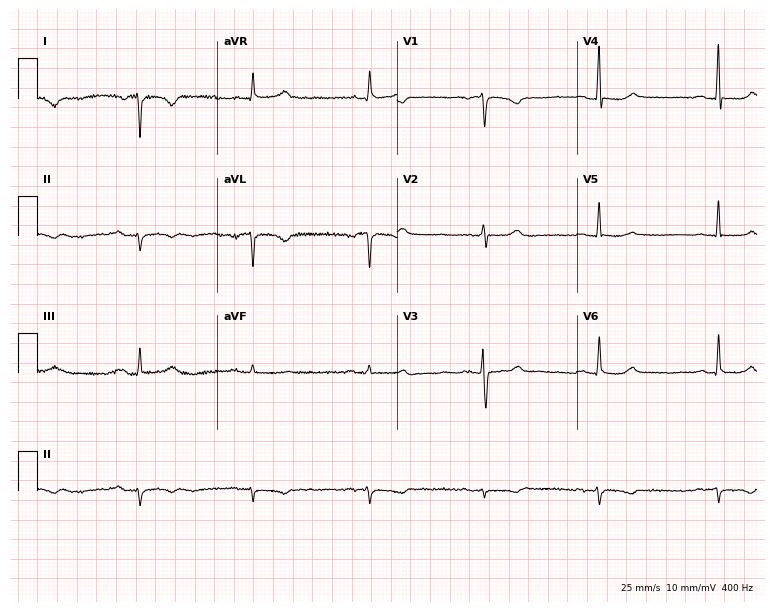
Standard 12-lead ECG recorded from a 62-year-old woman (7.3-second recording at 400 Hz). None of these six findings is recorded: first-degree AV block, right bundle branch block, left bundle branch block, sinus bradycardia, atrial fibrillation, sinus tachycardia.